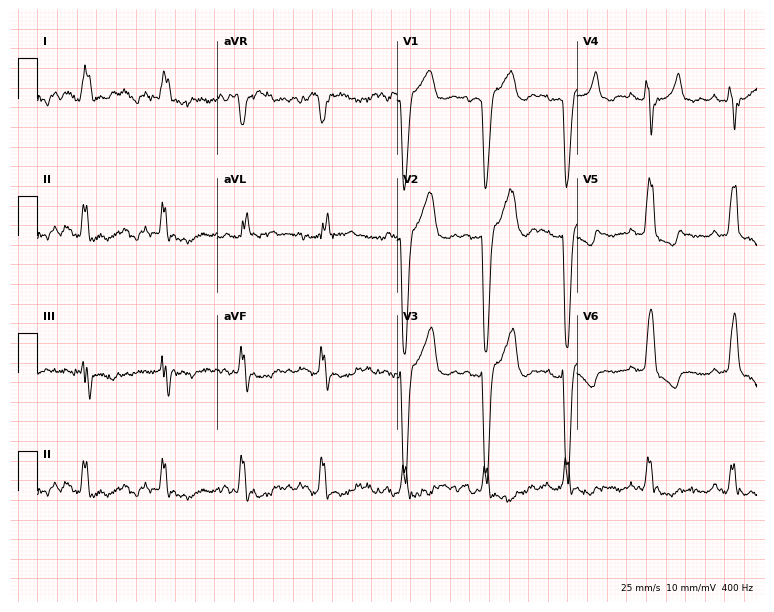
Standard 12-lead ECG recorded from a woman, 73 years old (7.3-second recording at 400 Hz). The tracing shows left bundle branch block.